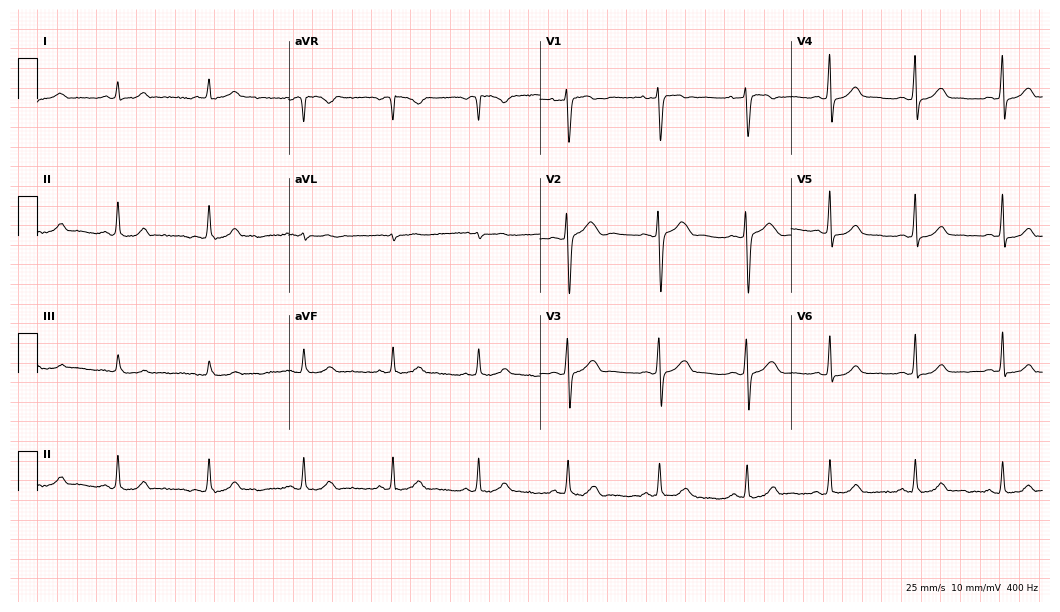
Resting 12-lead electrocardiogram. Patient: a 32-year-old female. Read as a normal ECG.